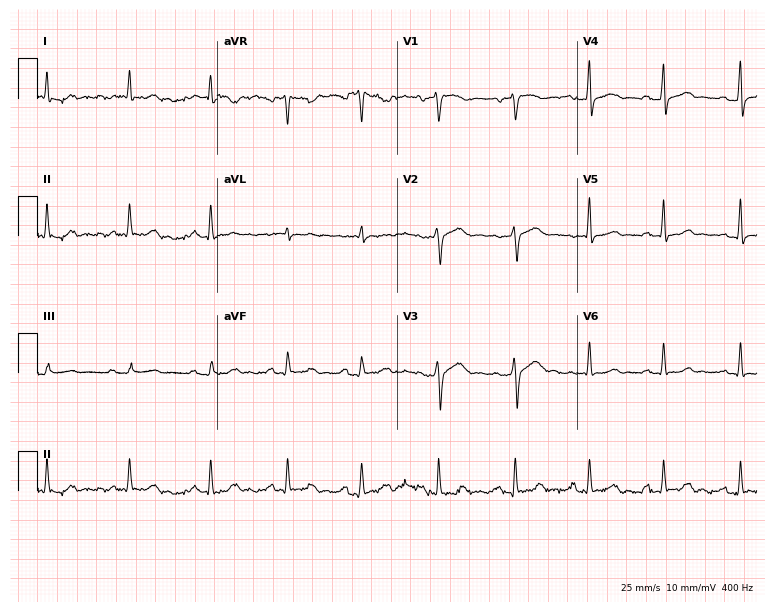
ECG (7.3-second recording at 400 Hz) — a female, 53 years old. Labelled as a normal ECG.